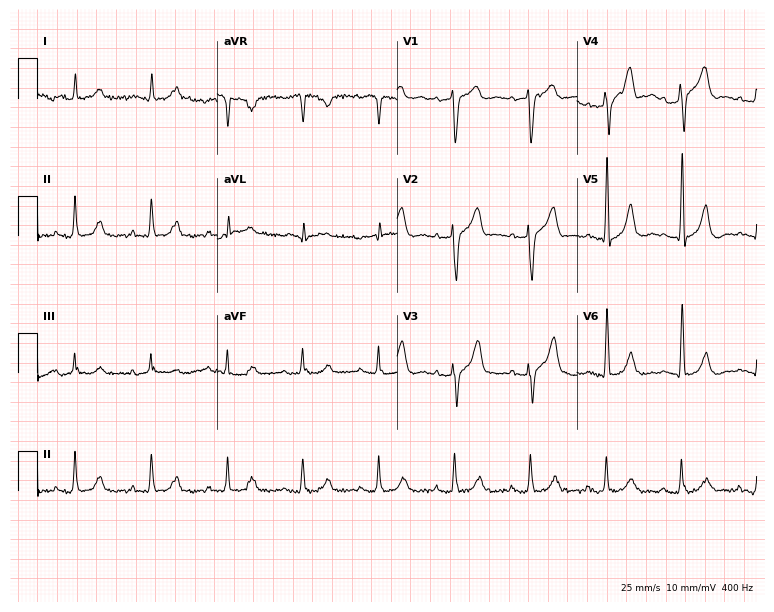
Resting 12-lead electrocardiogram (7.3-second recording at 400 Hz). Patient: a 66-year-old male. Read as a normal ECG.